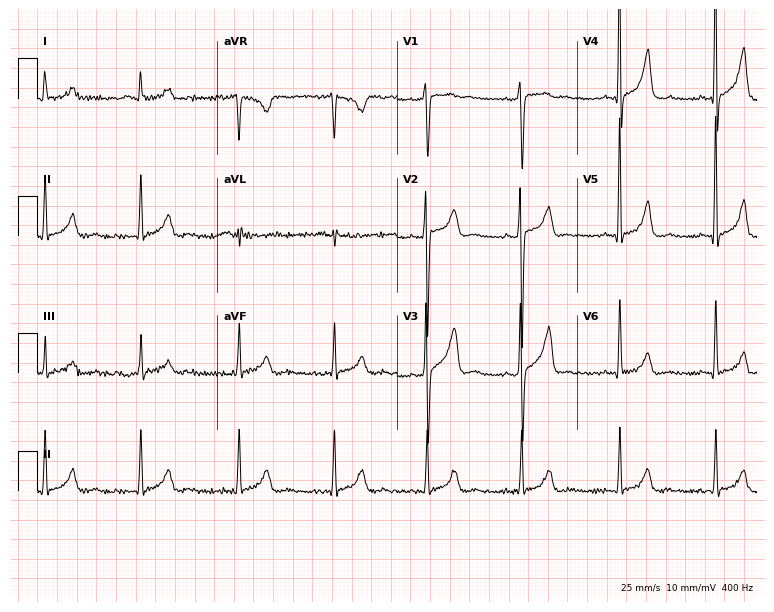
12-lead ECG from a 37-year-old male patient. Recorded interpretation: within normal limits.